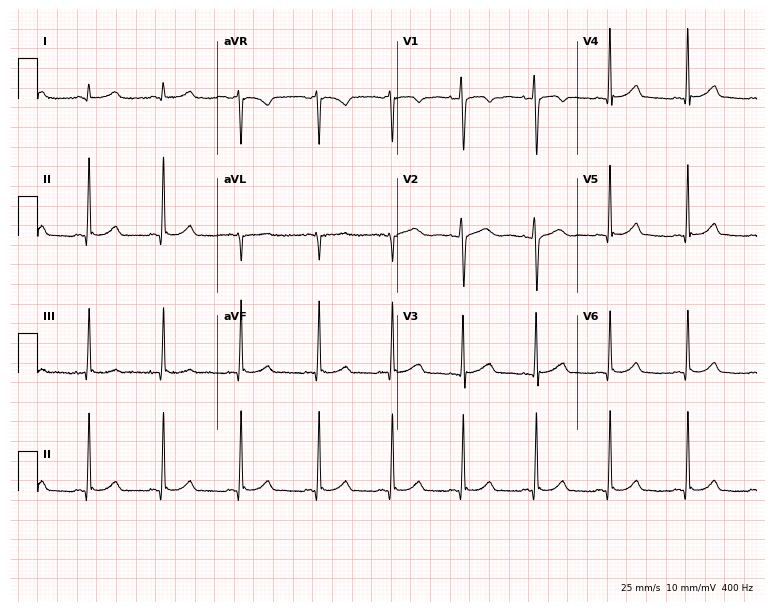
12-lead ECG (7.3-second recording at 400 Hz) from a female patient, 35 years old. Screened for six findings — first-degree AV block, right bundle branch block, left bundle branch block, sinus bradycardia, atrial fibrillation, sinus tachycardia — none is recorded. Only these six findings were labelled.